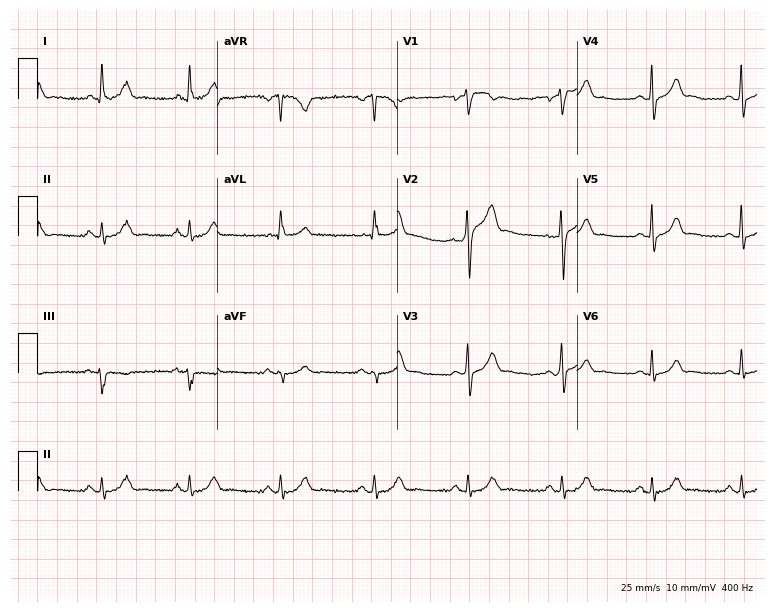
12-lead ECG from a male, 50 years old. Labelled as a normal ECG.